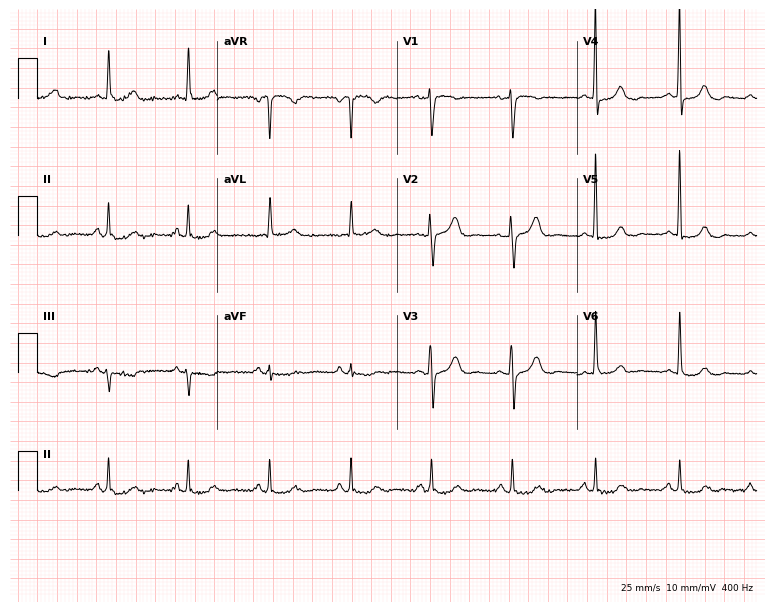
Resting 12-lead electrocardiogram. Patient: a 68-year-old female. None of these six findings is recorded: first-degree AV block, right bundle branch block, left bundle branch block, sinus bradycardia, atrial fibrillation, sinus tachycardia. Other findings, if any, are not listed.